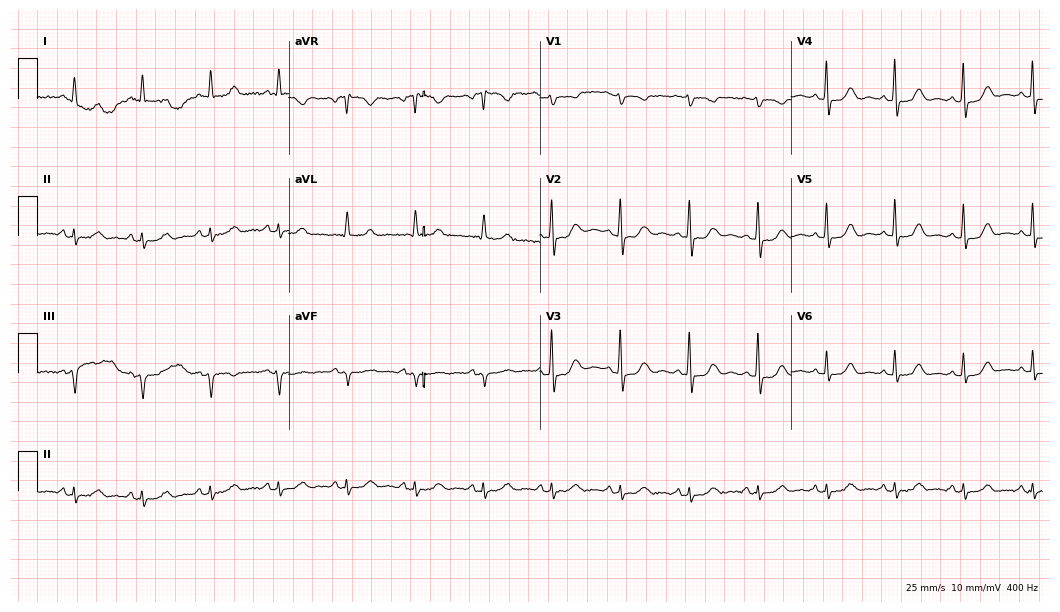
12-lead ECG from a female patient, 75 years old (10.2-second recording at 400 Hz). Recorded interpretation: within normal limits.